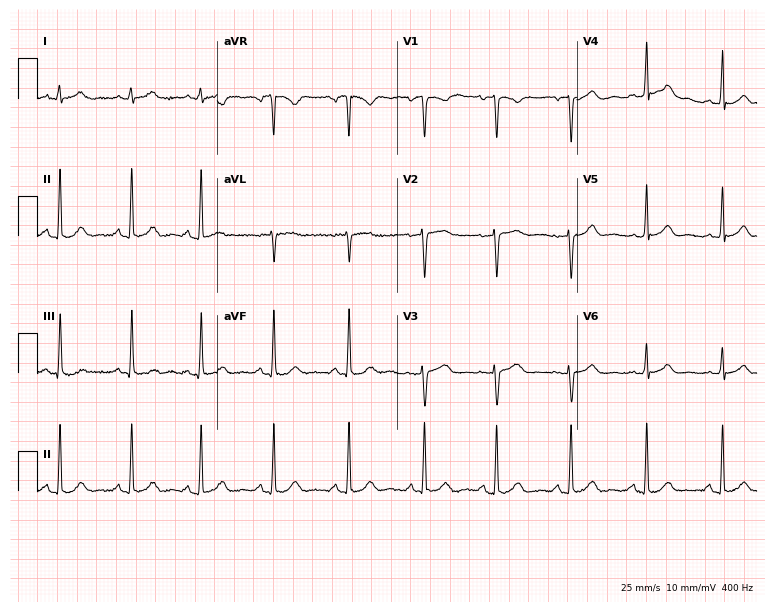
Standard 12-lead ECG recorded from a female, 37 years old (7.3-second recording at 400 Hz). Read as a normal ECG.